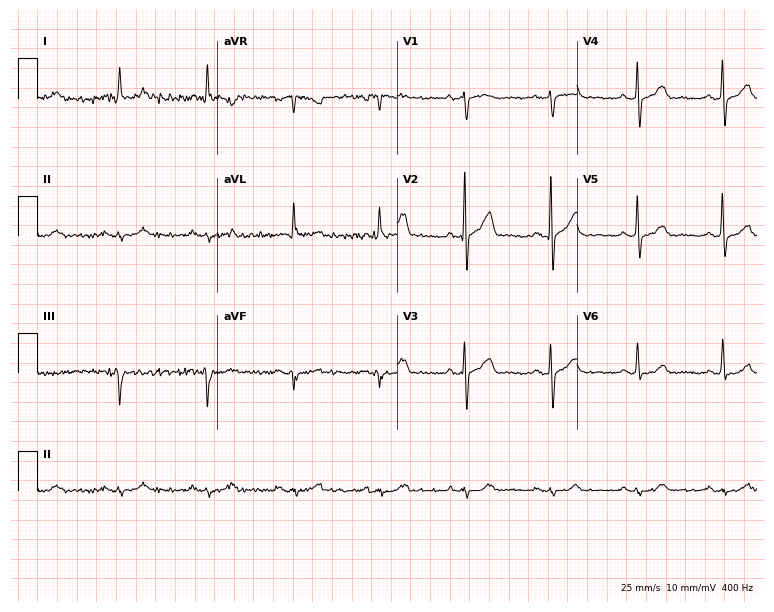
12-lead ECG from a male, 71 years old. No first-degree AV block, right bundle branch block (RBBB), left bundle branch block (LBBB), sinus bradycardia, atrial fibrillation (AF) or sinus tachycardia recorded for this tracing.